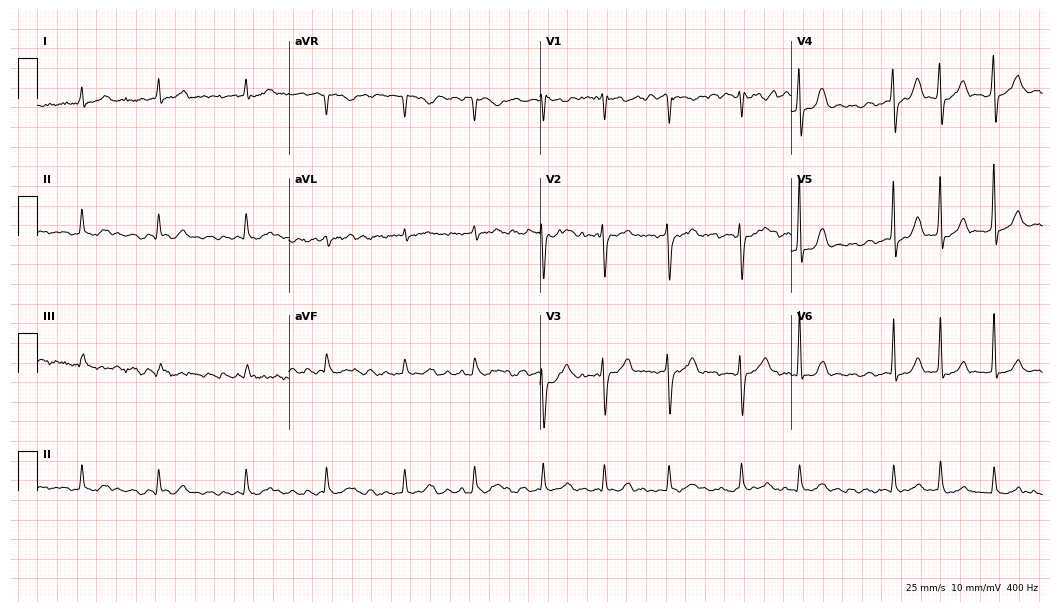
ECG (10.2-second recording at 400 Hz) — a woman, 61 years old. Findings include atrial fibrillation.